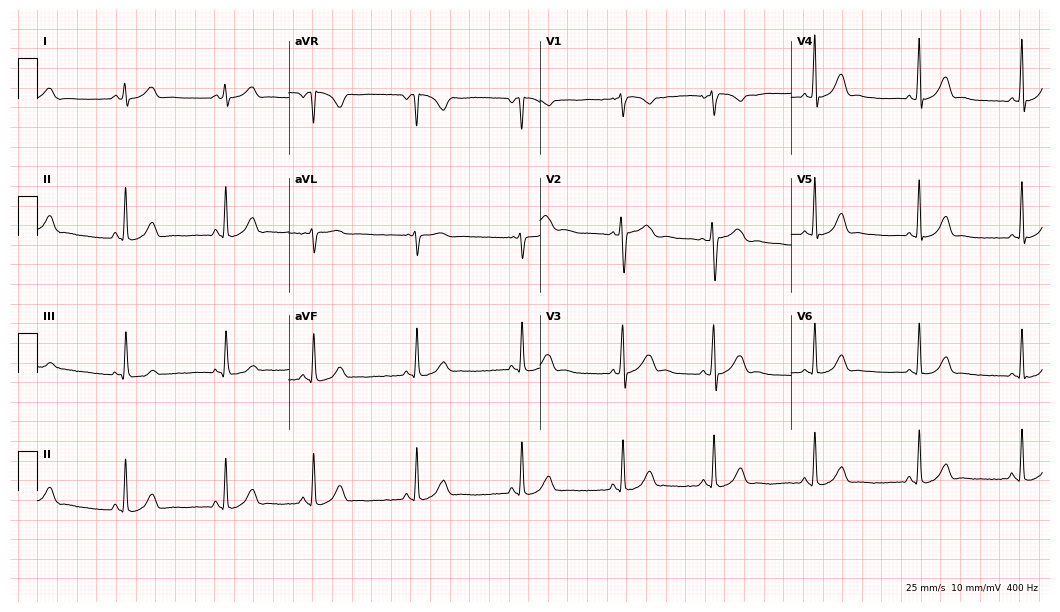
12-lead ECG from a woman, 30 years old. Recorded interpretation: within normal limits.